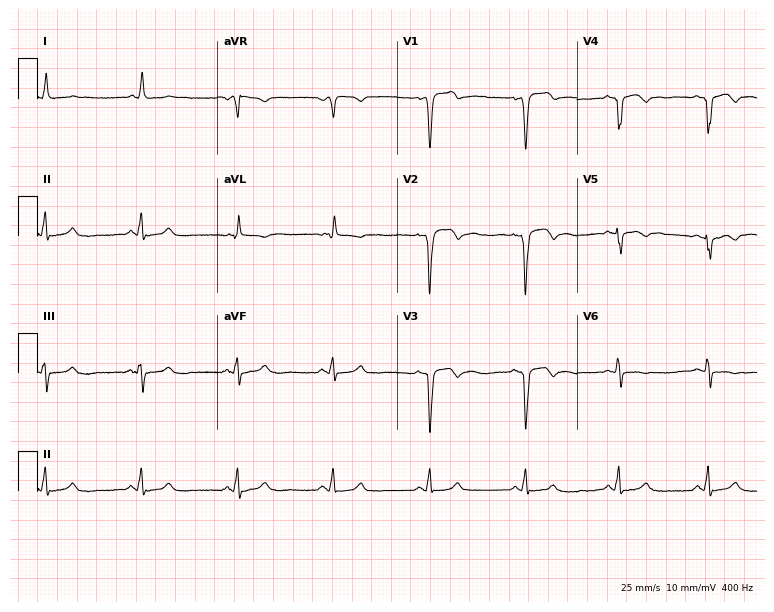
12-lead ECG from a male, 59 years old (7.3-second recording at 400 Hz). No first-degree AV block, right bundle branch block, left bundle branch block, sinus bradycardia, atrial fibrillation or sinus tachycardia recorded for this tracing. Only these six findings were labelled.